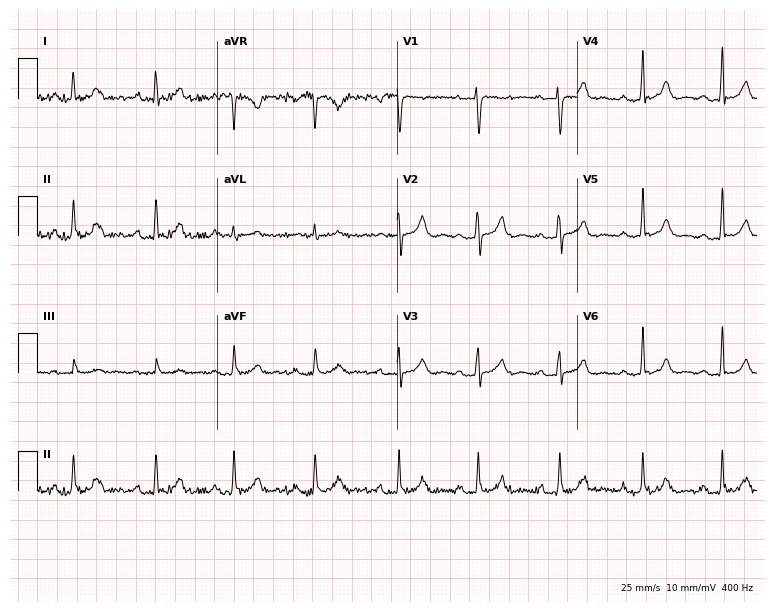
Standard 12-lead ECG recorded from a woman, 30 years old (7.3-second recording at 400 Hz). Read as a normal ECG.